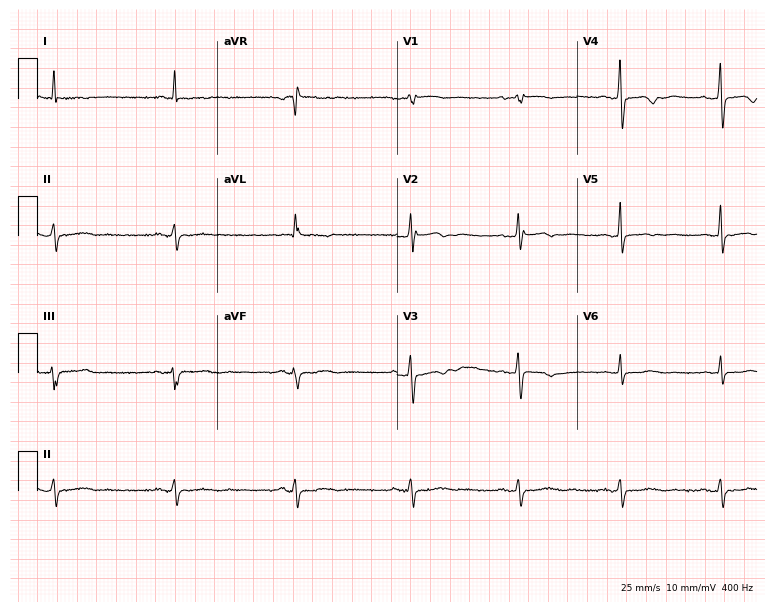
Resting 12-lead electrocardiogram (7.3-second recording at 400 Hz). Patient: a woman, 74 years old. None of these six findings is recorded: first-degree AV block, right bundle branch block, left bundle branch block, sinus bradycardia, atrial fibrillation, sinus tachycardia. Other findings, if any, are not listed.